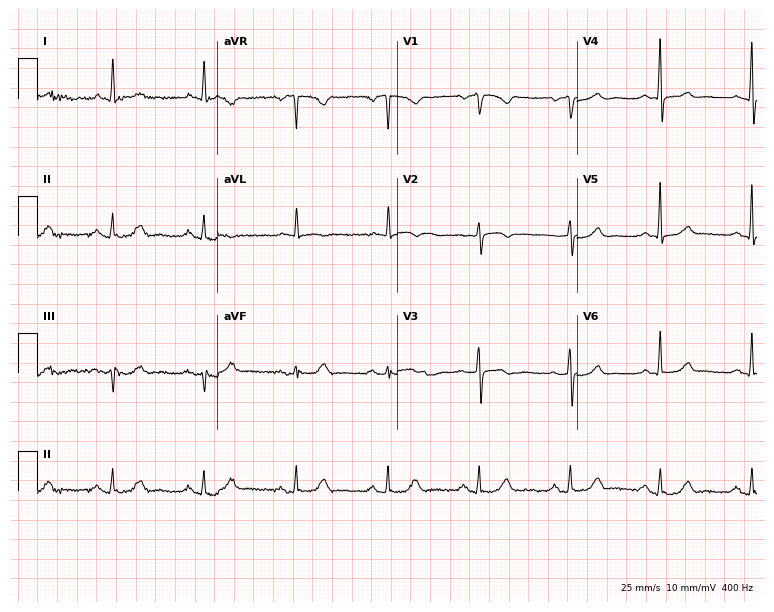
Standard 12-lead ECG recorded from a 71-year-old female patient. Read as a normal ECG.